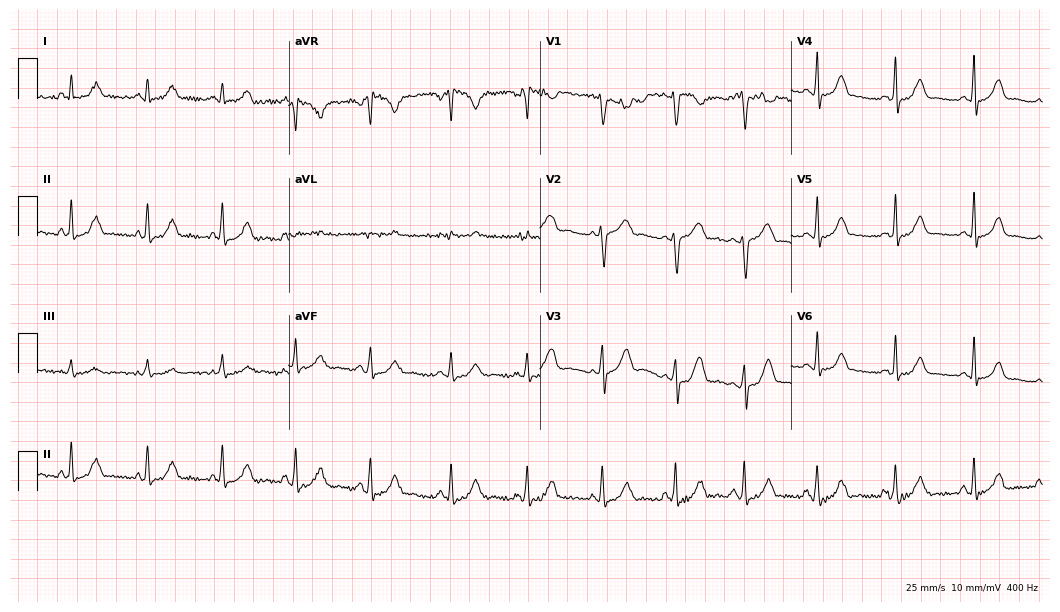
ECG (10.2-second recording at 400 Hz) — a female patient, 29 years old. Screened for six findings — first-degree AV block, right bundle branch block (RBBB), left bundle branch block (LBBB), sinus bradycardia, atrial fibrillation (AF), sinus tachycardia — none is recorded. Other findings, if any, are not listed.